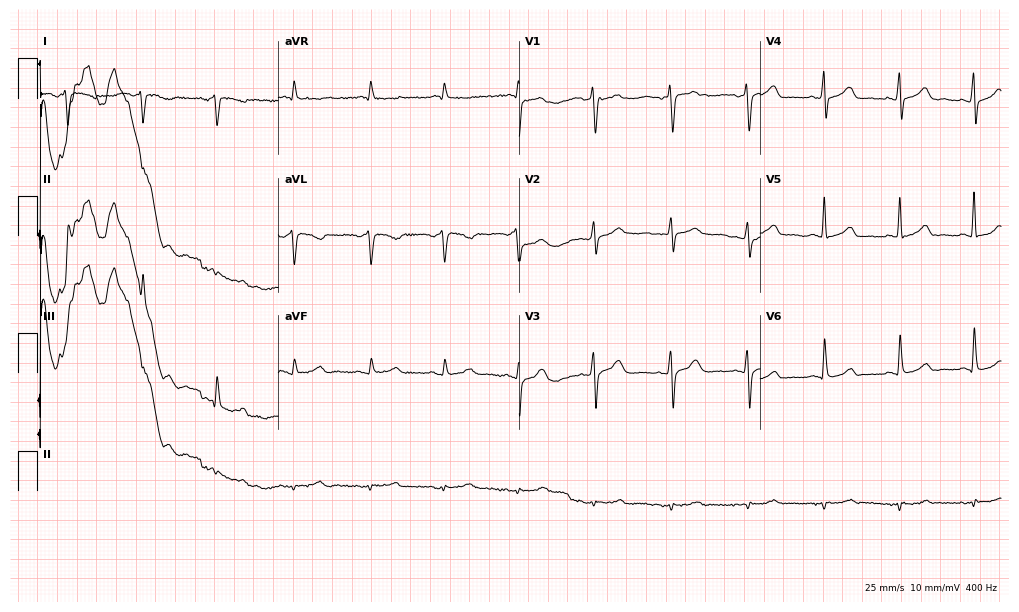
ECG (9.8-second recording at 400 Hz) — a female patient, 48 years old. Labelled as a normal ECG.